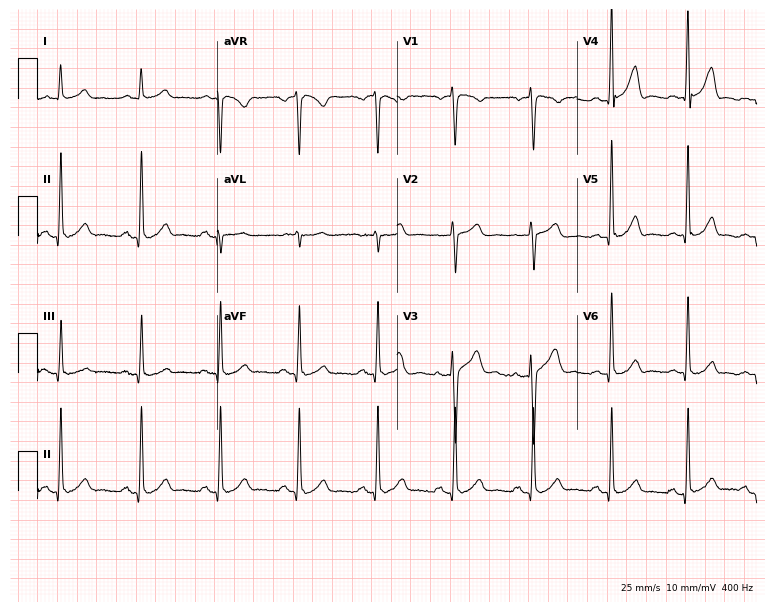
Resting 12-lead electrocardiogram. Patient: a male, 57 years old. Read as a normal ECG.